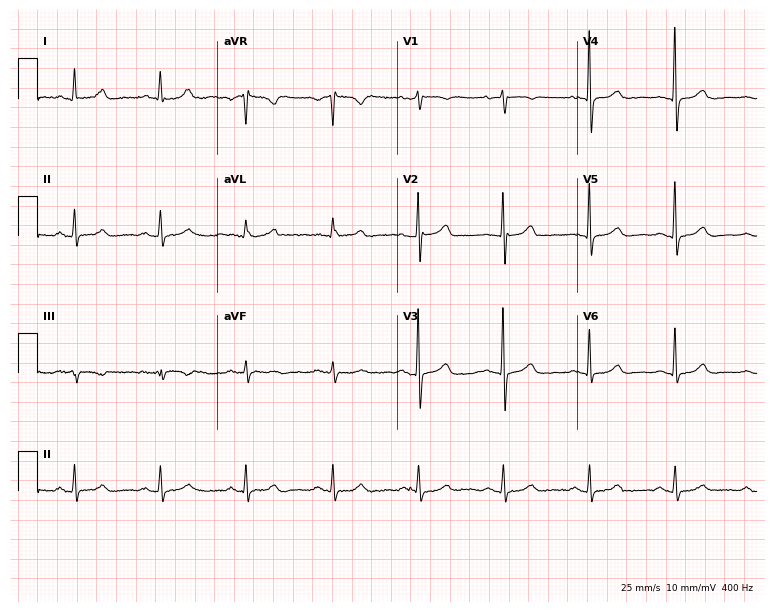
Standard 12-lead ECG recorded from a 72-year-old female (7.3-second recording at 400 Hz). Read as a normal ECG.